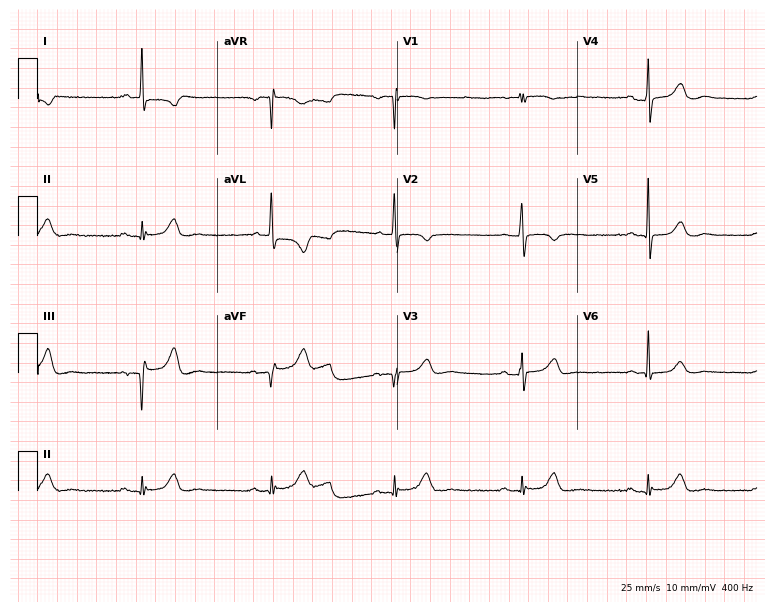
Resting 12-lead electrocardiogram. Patient: a female, 80 years old. None of these six findings is recorded: first-degree AV block, right bundle branch block, left bundle branch block, sinus bradycardia, atrial fibrillation, sinus tachycardia. Only these six findings were labelled.